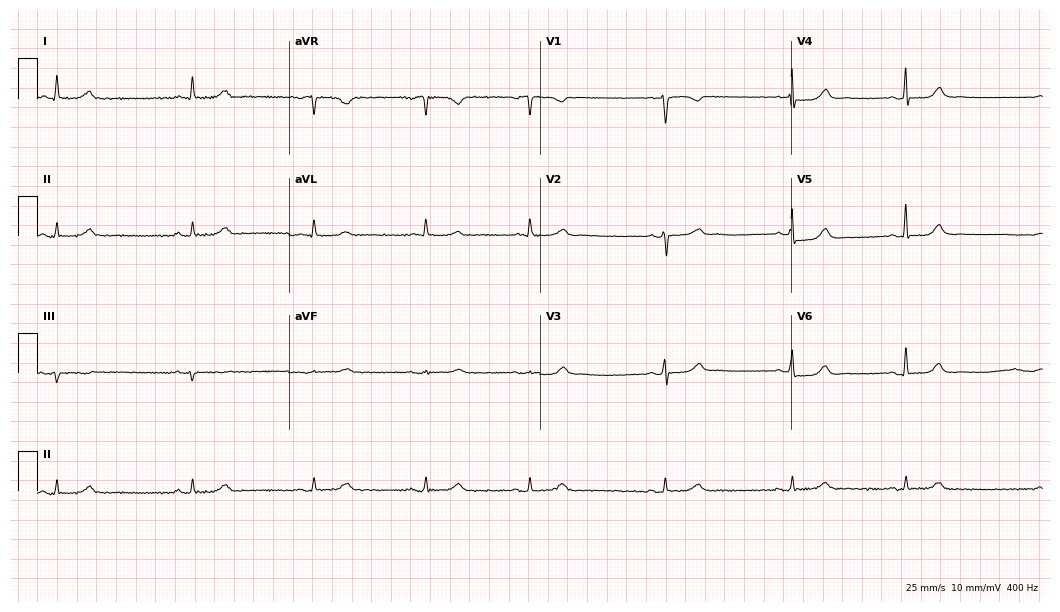
Electrocardiogram (10.2-second recording at 400 Hz), a female patient, 56 years old. Interpretation includes sinus bradycardia (a sinus rate of 50 beats per minute or less).